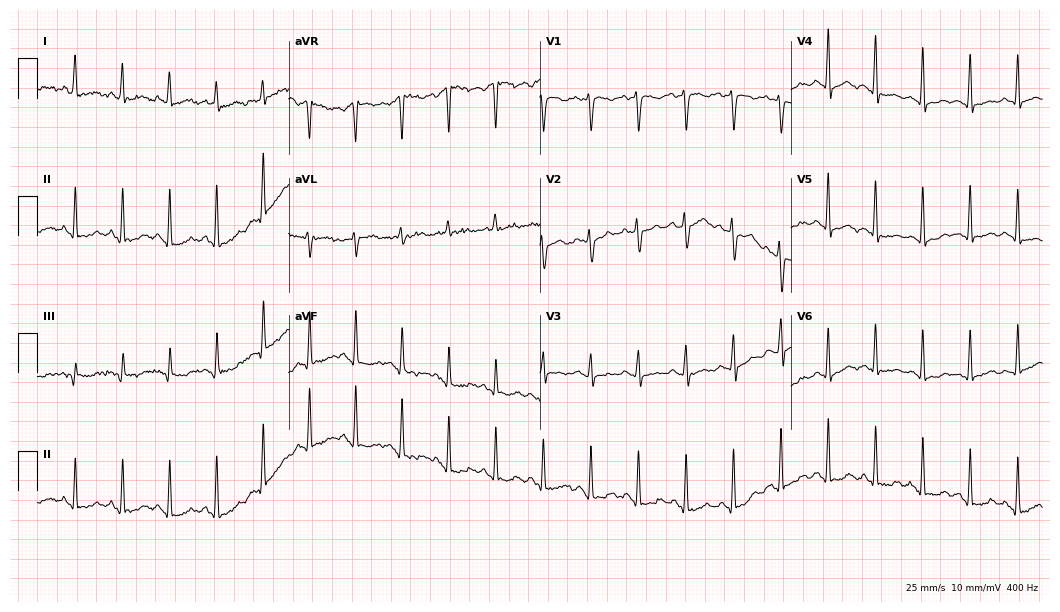
Electrocardiogram (10.2-second recording at 400 Hz), a female patient, 44 years old. Interpretation includes sinus tachycardia (a sinus rate of 100 beats per minute or more).